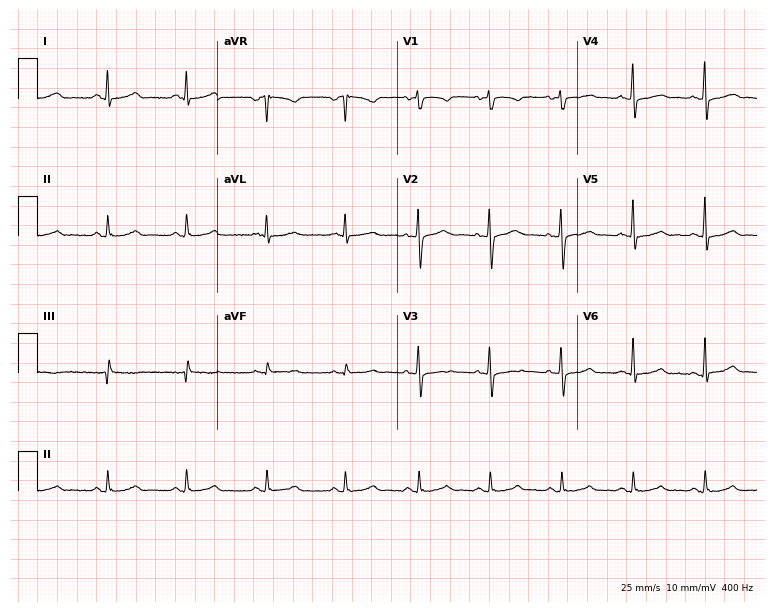
Standard 12-lead ECG recorded from a female patient, 48 years old (7.3-second recording at 400 Hz). Read as a normal ECG.